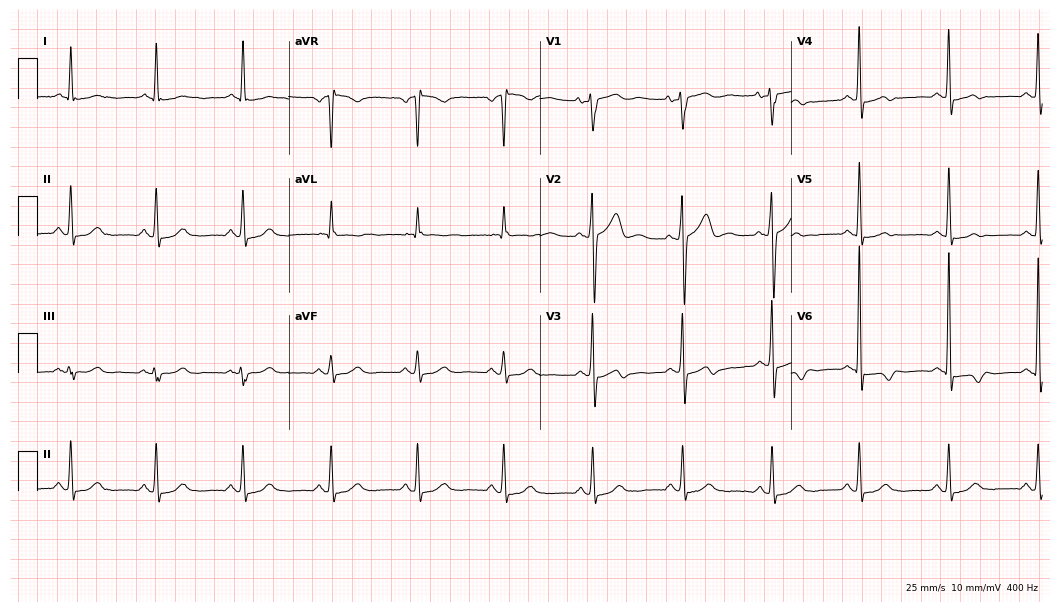
ECG (10.2-second recording at 400 Hz) — a male patient, 64 years old. Screened for six findings — first-degree AV block, right bundle branch block, left bundle branch block, sinus bradycardia, atrial fibrillation, sinus tachycardia — none is recorded. Other findings, if any, are not listed.